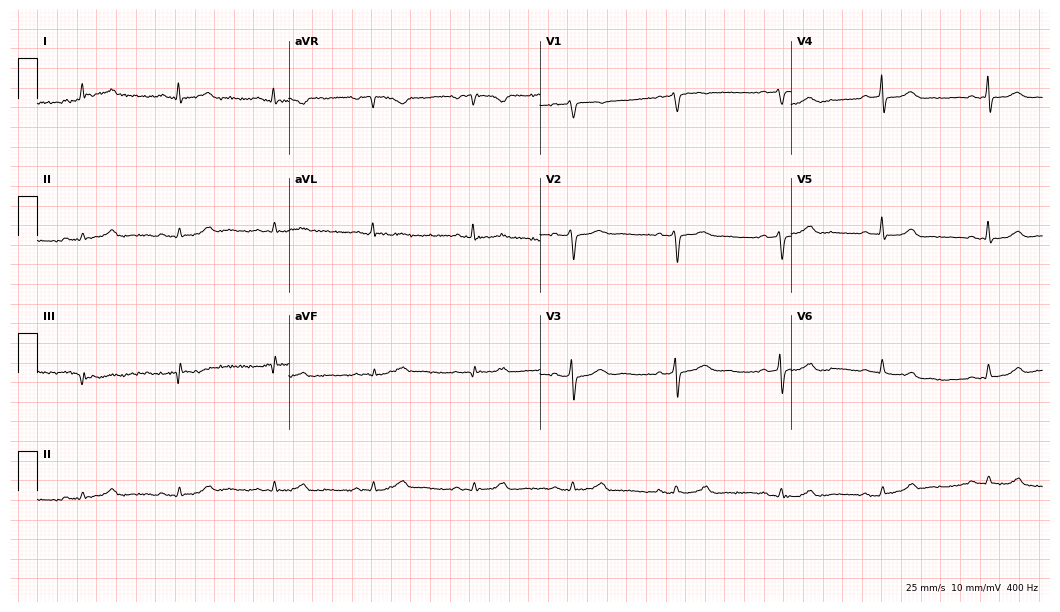
Electrocardiogram (10.2-second recording at 400 Hz), a 67-year-old male patient. Overall reading on record: normal ECG.